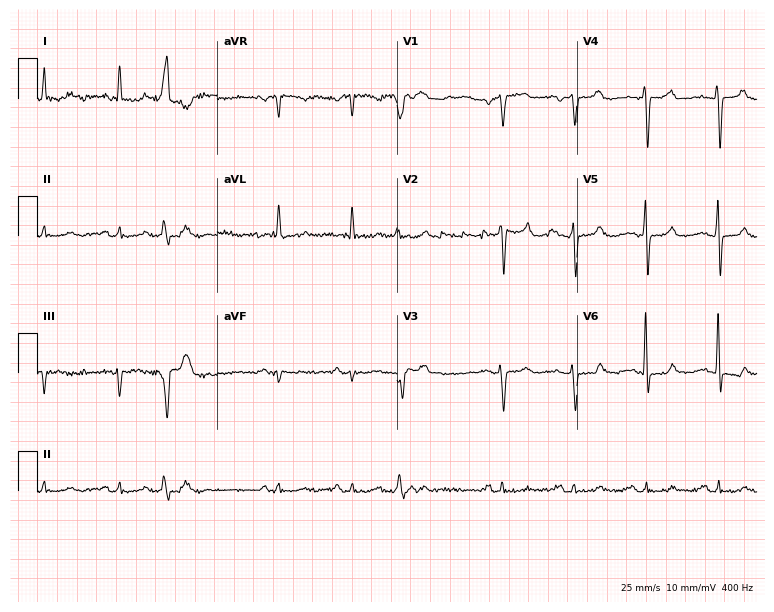
Standard 12-lead ECG recorded from a 79-year-old male (7.3-second recording at 400 Hz). None of these six findings is recorded: first-degree AV block, right bundle branch block (RBBB), left bundle branch block (LBBB), sinus bradycardia, atrial fibrillation (AF), sinus tachycardia.